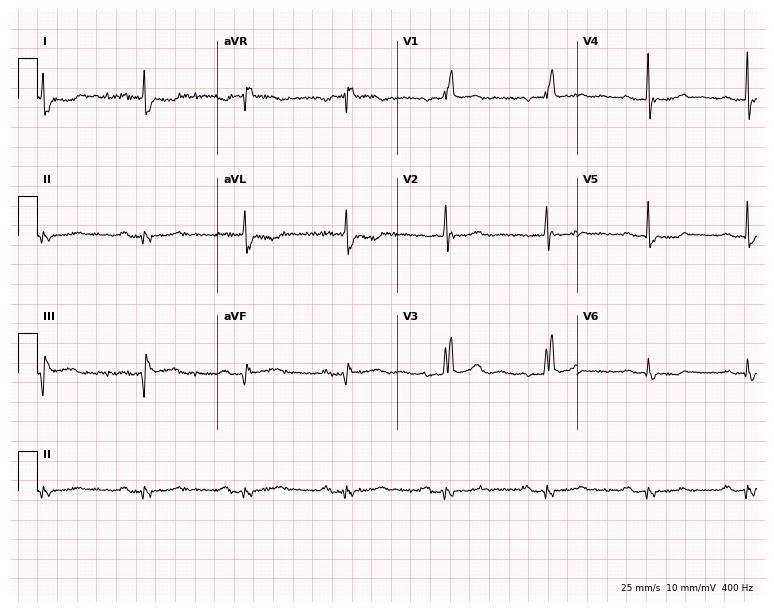
ECG (7.3-second recording at 400 Hz) — a male, 61 years old. Findings include first-degree AV block, right bundle branch block.